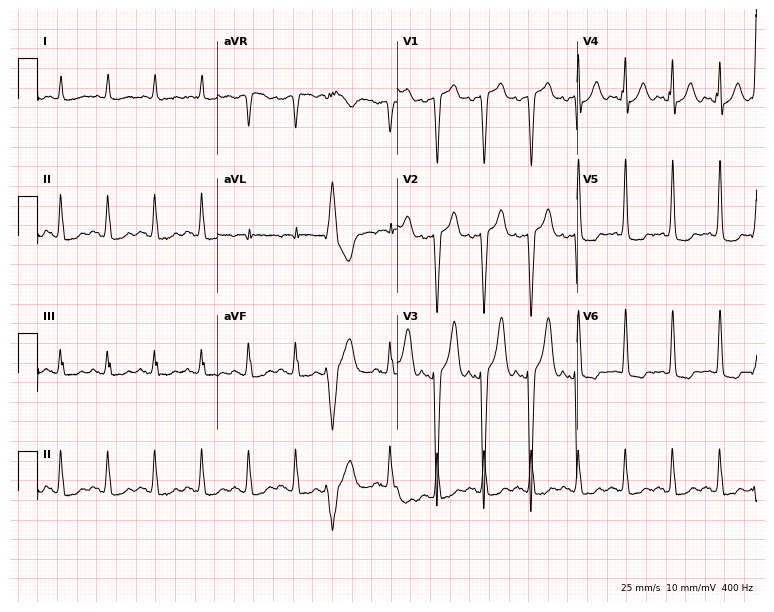
Resting 12-lead electrocardiogram (7.3-second recording at 400 Hz). Patient: a 77-year-old male. None of these six findings is recorded: first-degree AV block, right bundle branch block, left bundle branch block, sinus bradycardia, atrial fibrillation, sinus tachycardia.